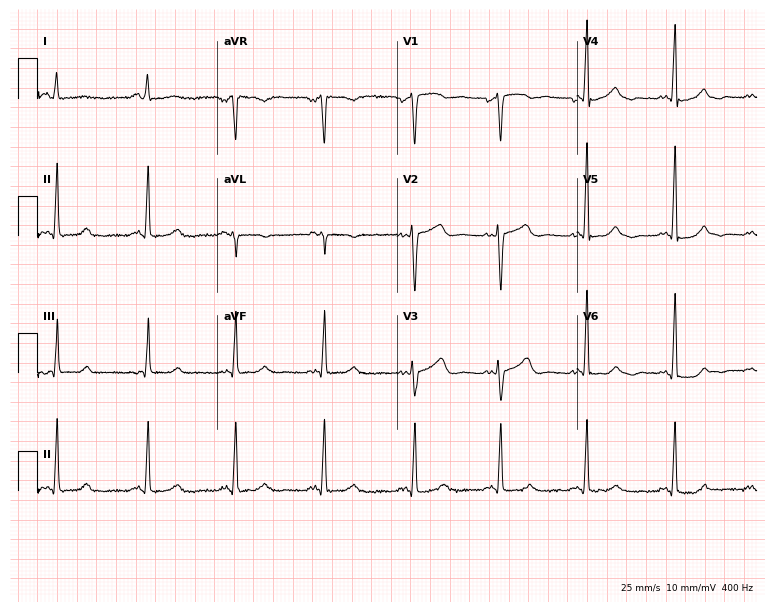
Resting 12-lead electrocardiogram (7.3-second recording at 400 Hz). Patient: a woman, 42 years old. None of these six findings is recorded: first-degree AV block, right bundle branch block, left bundle branch block, sinus bradycardia, atrial fibrillation, sinus tachycardia.